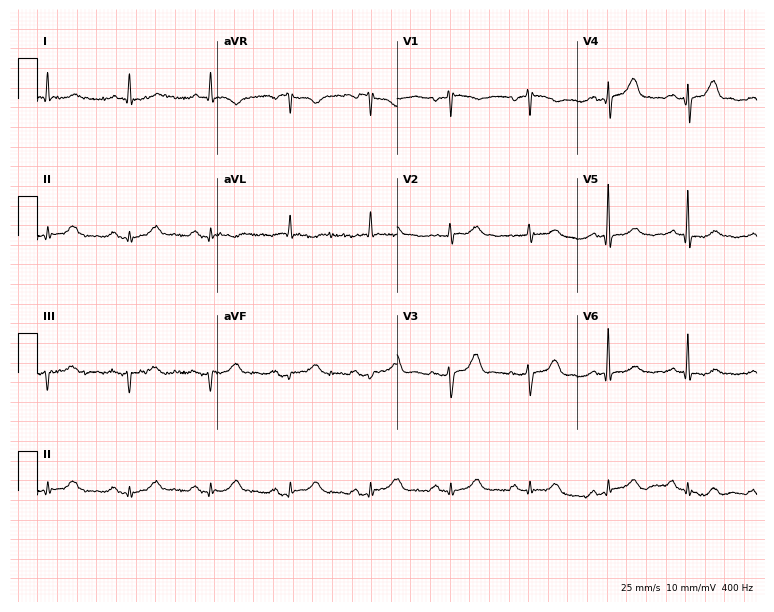
12-lead ECG from a 74-year-old female (7.3-second recording at 400 Hz). No first-degree AV block, right bundle branch block, left bundle branch block, sinus bradycardia, atrial fibrillation or sinus tachycardia recorded for this tracing.